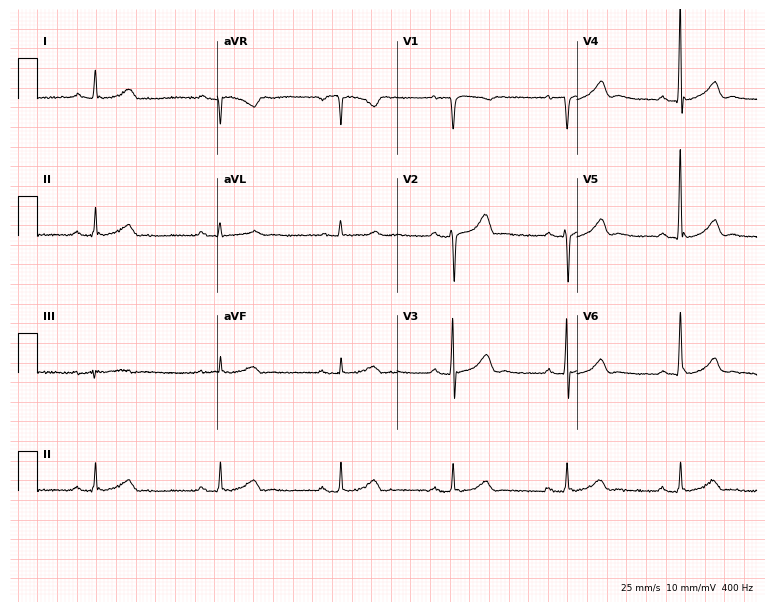
ECG (7.3-second recording at 400 Hz) — a man, 78 years old. Screened for six findings — first-degree AV block, right bundle branch block, left bundle branch block, sinus bradycardia, atrial fibrillation, sinus tachycardia — none is recorded. Other findings, if any, are not listed.